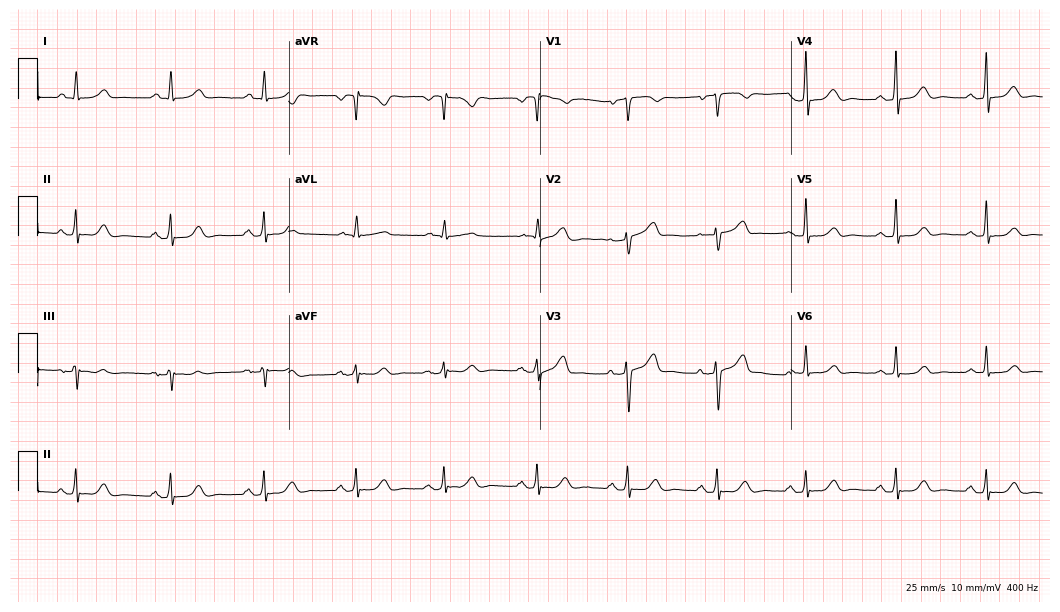
Resting 12-lead electrocardiogram. Patient: a woman, 58 years old. None of these six findings is recorded: first-degree AV block, right bundle branch block (RBBB), left bundle branch block (LBBB), sinus bradycardia, atrial fibrillation (AF), sinus tachycardia. Only these six findings were labelled.